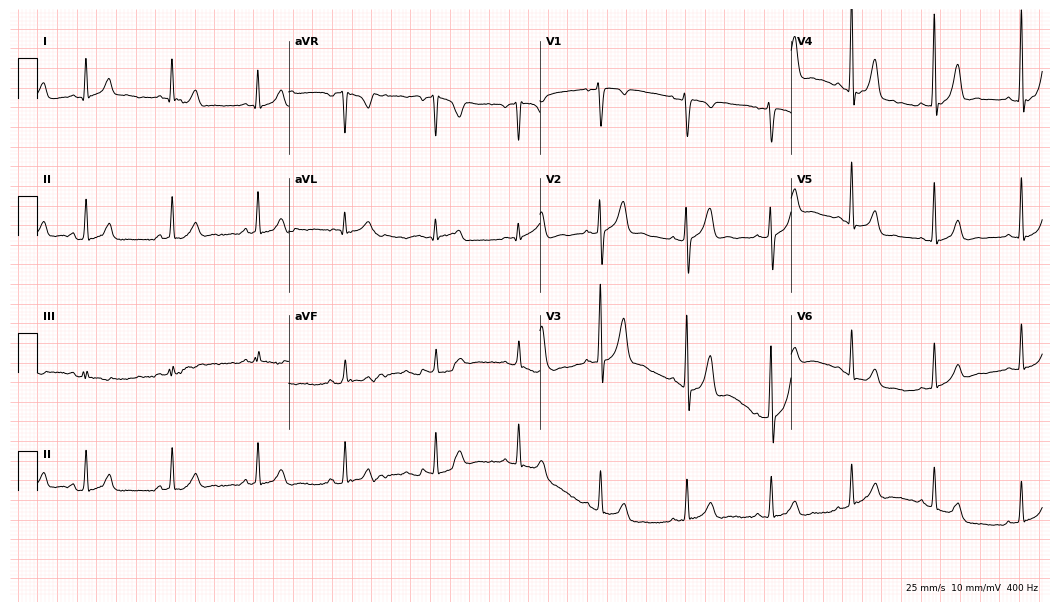
12-lead ECG from a man, 25 years old (10.2-second recording at 400 Hz). Recorded interpretation: within normal limits.